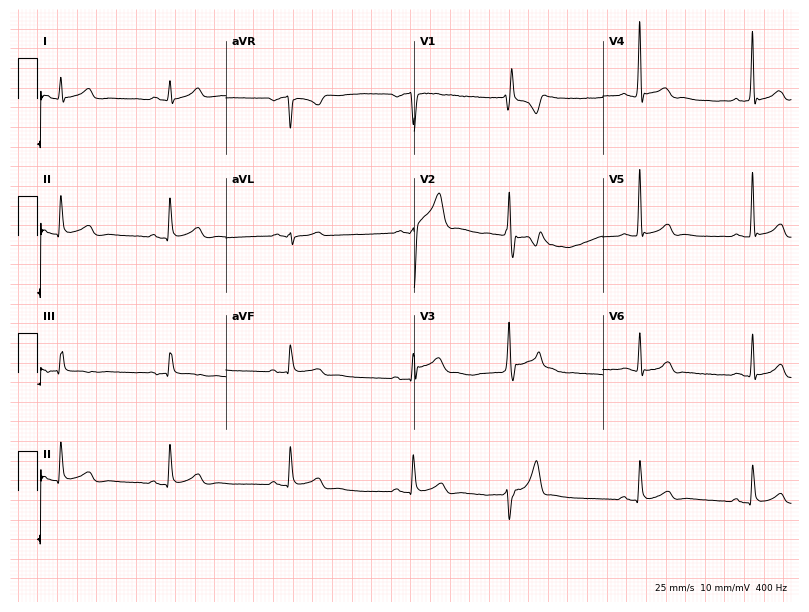
Standard 12-lead ECG recorded from a male, 31 years old (7.7-second recording at 400 Hz). The tracing shows sinus bradycardia (a sinus rate of 50 beats per minute or less).